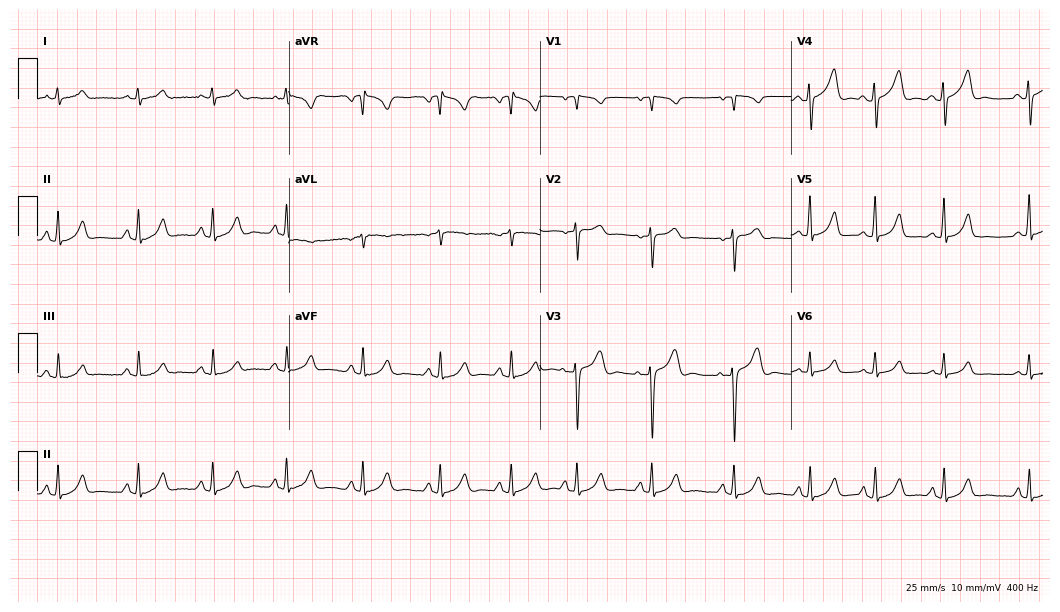
Electrocardiogram, a female patient, 18 years old. Overall reading on record: normal ECG.